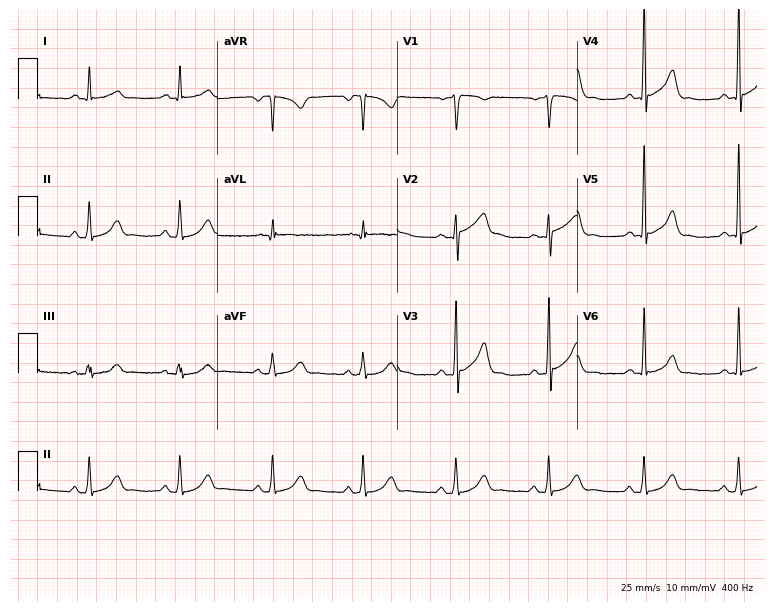
Resting 12-lead electrocardiogram. Patient: a man, 47 years old. Read as a normal ECG.